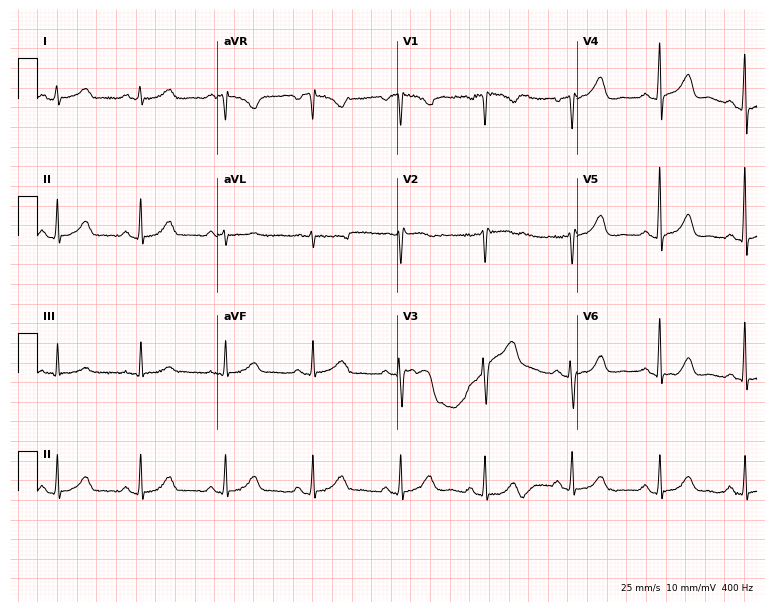
Electrocardiogram, a 44-year-old woman. Overall reading on record: normal ECG.